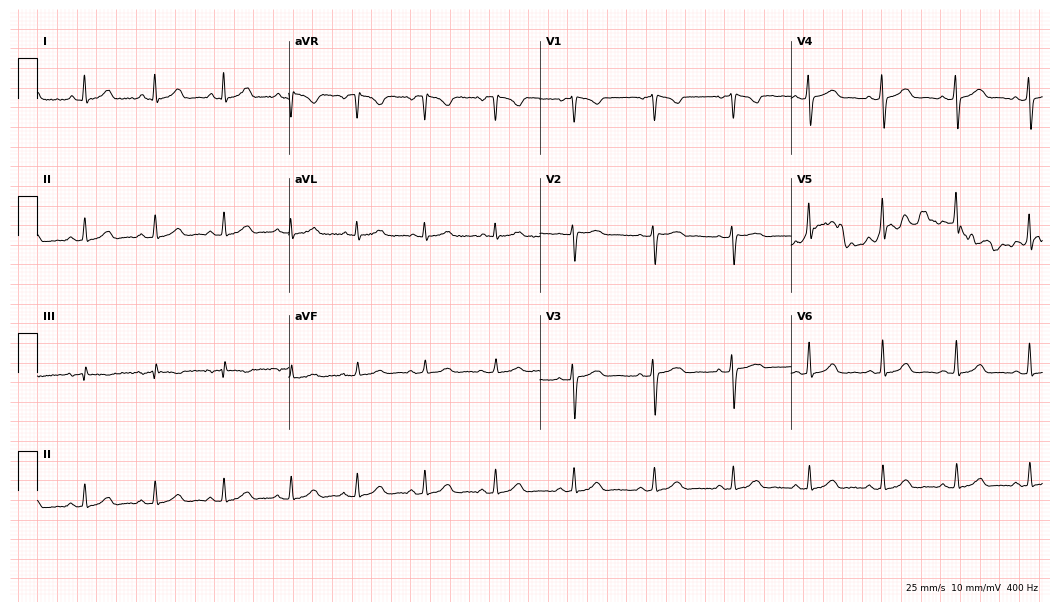
Standard 12-lead ECG recorded from a 41-year-old woman. Read as a normal ECG.